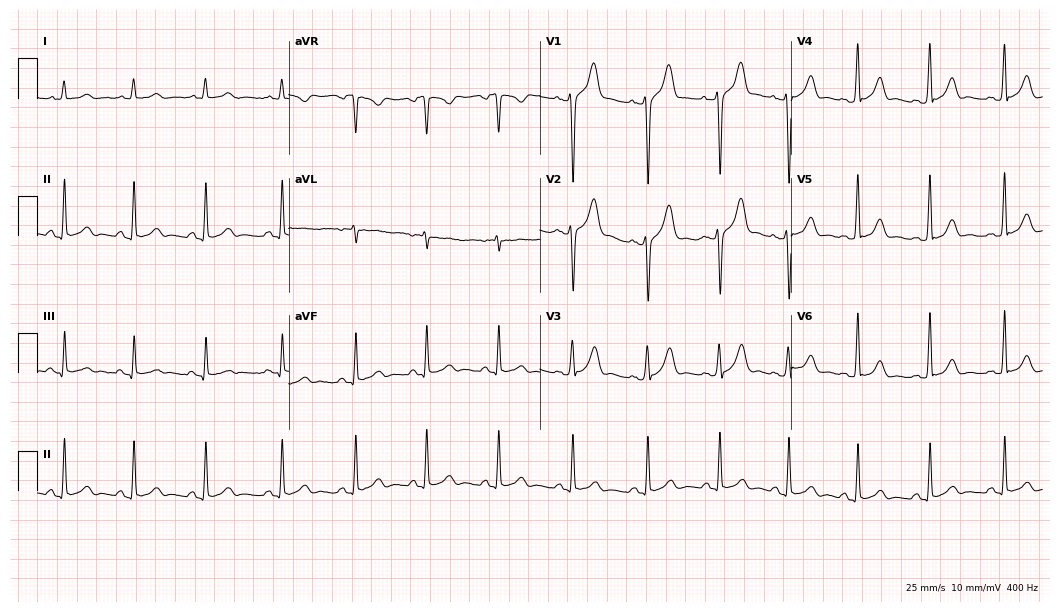
12-lead ECG (10.2-second recording at 400 Hz) from a man, 36 years old. Labelled as a normal ECG.